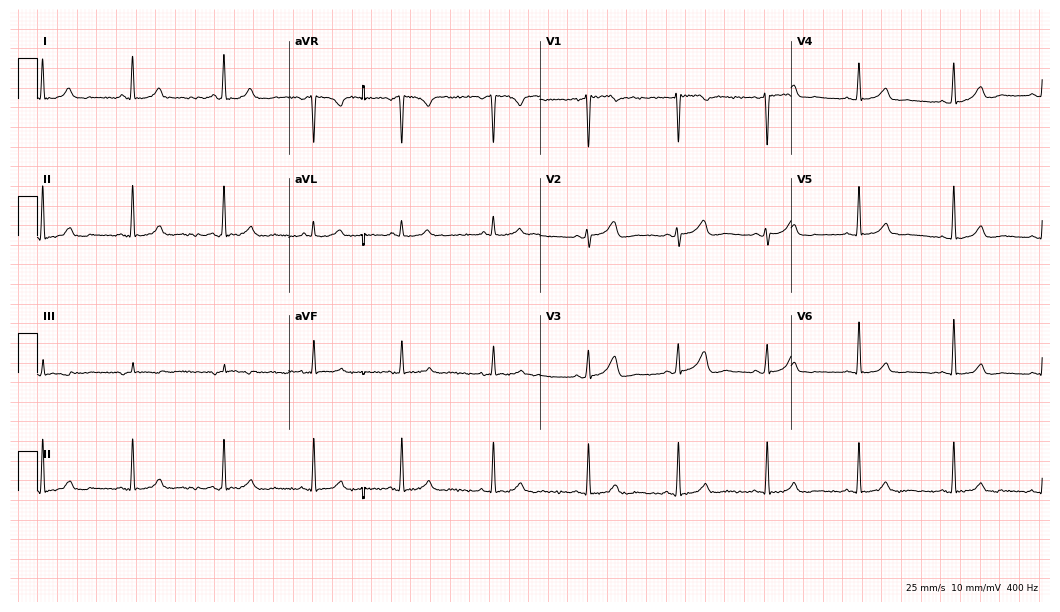
Standard 12-lead ECG recorded from a 48-year-old female (10.2-second recording at 400 Hz). Read as a normal ECG.